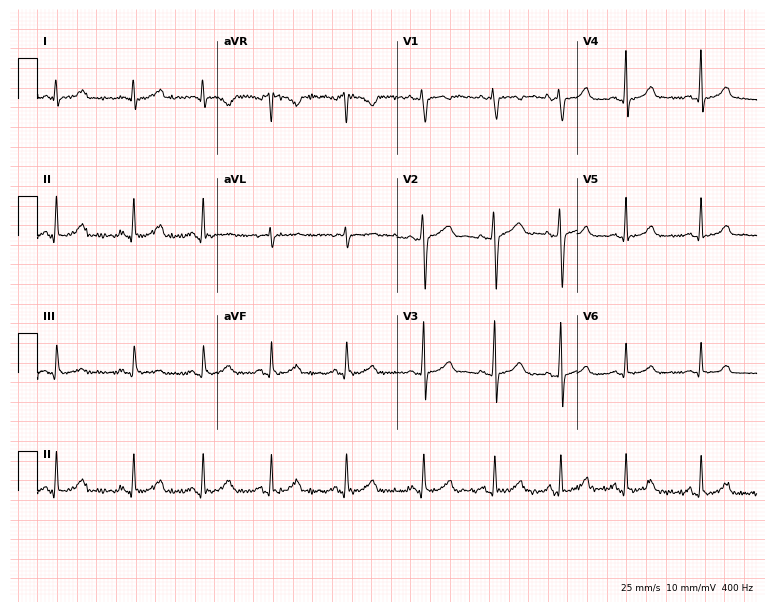
Standard 12-lead ECG recorded from a female patient, 25 years old. Read as a normal ECG.